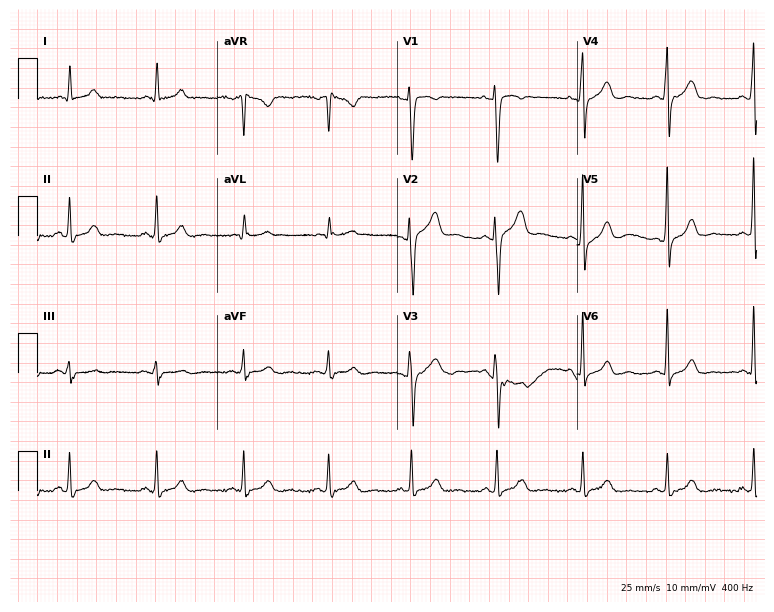
Resting 12-lead electrocardiogram. Patient: a 41-year-old female. Read as a normal ECG.